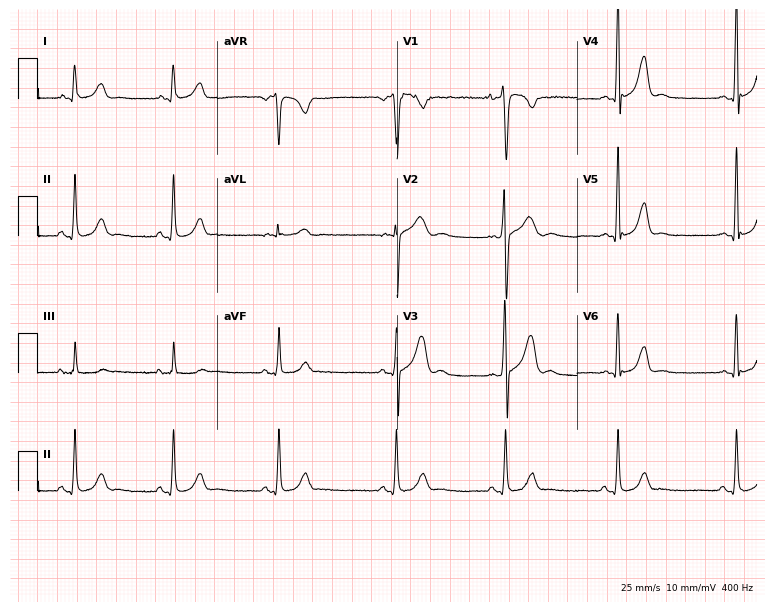
ECG (7.3-second recording at 400 Hz) — a man, 22 years old. Labelled as a normal ECG.